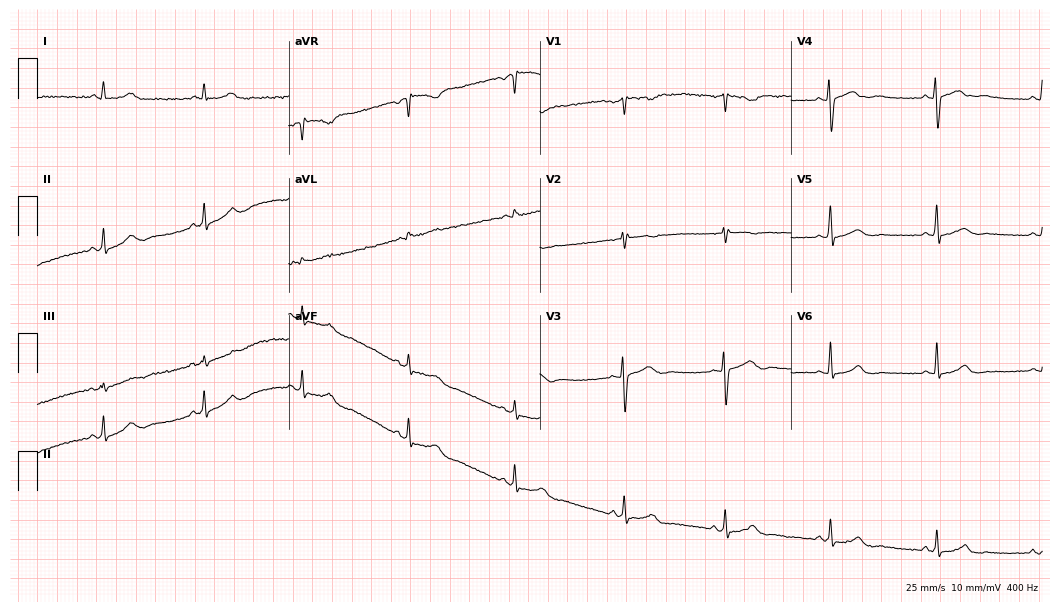
Standard 12-lead ECG recorded from a 41-year-old female patient. Read as a normal ECG.